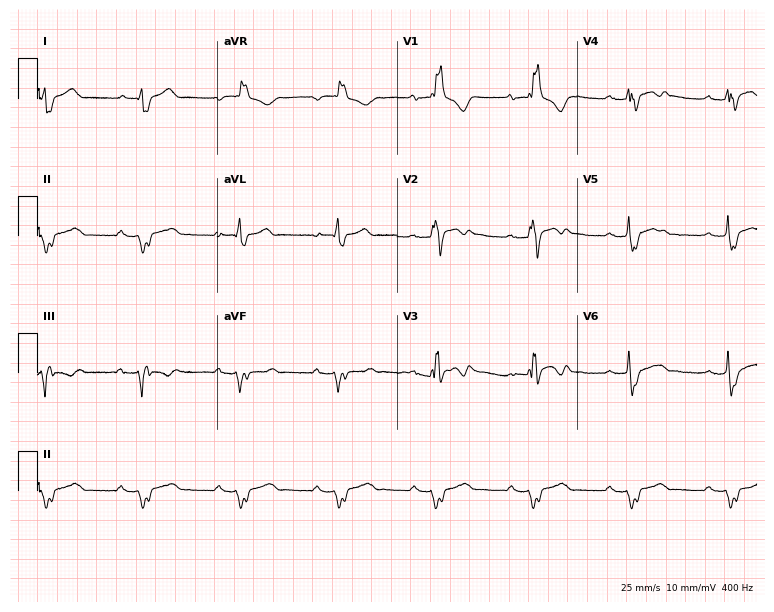
12-lead ECG from a 29-year-old male. Shows right bundle branch block (RBBB).